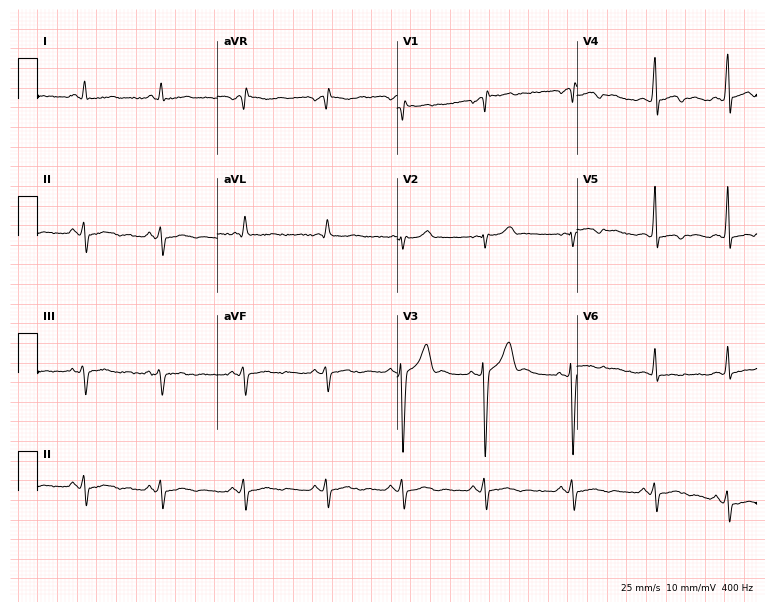
Standard 12-lead ECG recorded from a man, 22 years old. None of these six findings is recorded: first-degree AV block, right bundle branch block (RBBB), left bundle branch block (LBBB), sinus bradycardia, atrial fibrillation (AF), sinus tachycardia. Only these six findings were labelled.